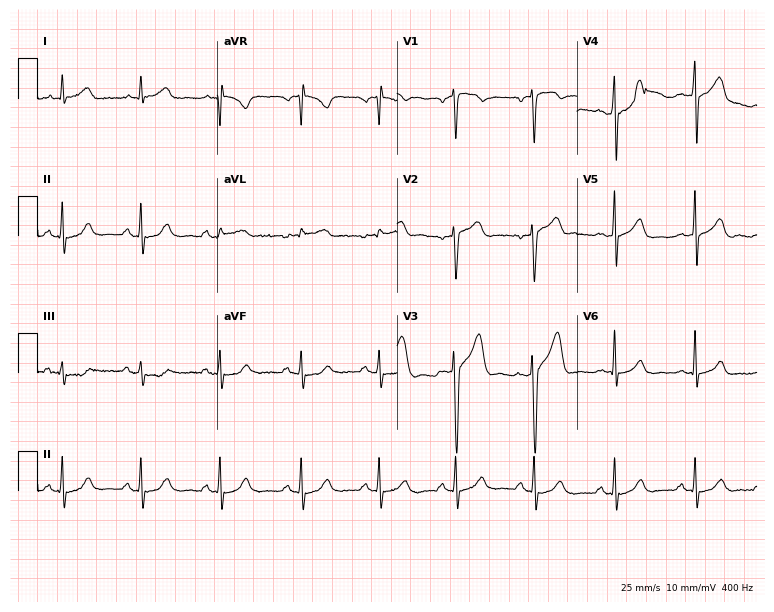
Standard 12-lead ECG recorded from a 39-year-old man. Read as a normal ECG.